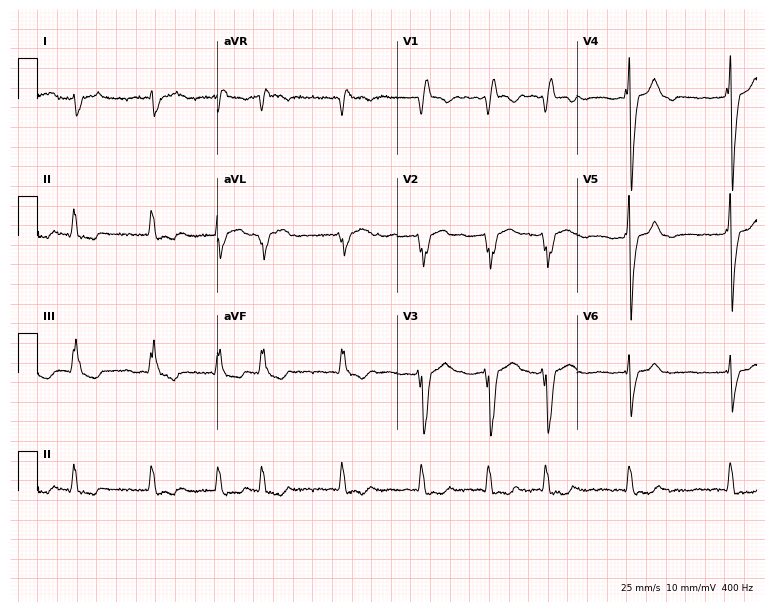
12-lead ECG from a male, 72 years old. Shows right bundle branch block, atrial fibrillation.